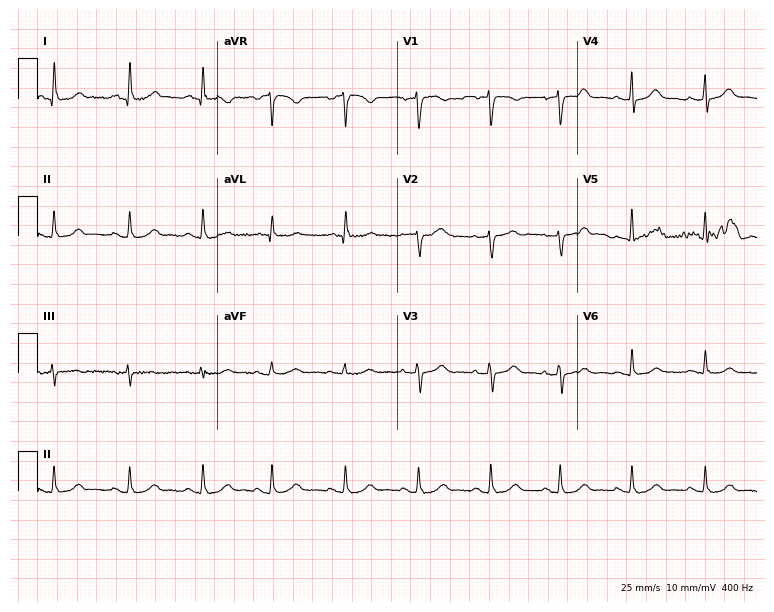
Standard 12-lead ECG recorded from a 55-year-old woman (7.3-second recording at 400 Hz). Read as a normal ECG.